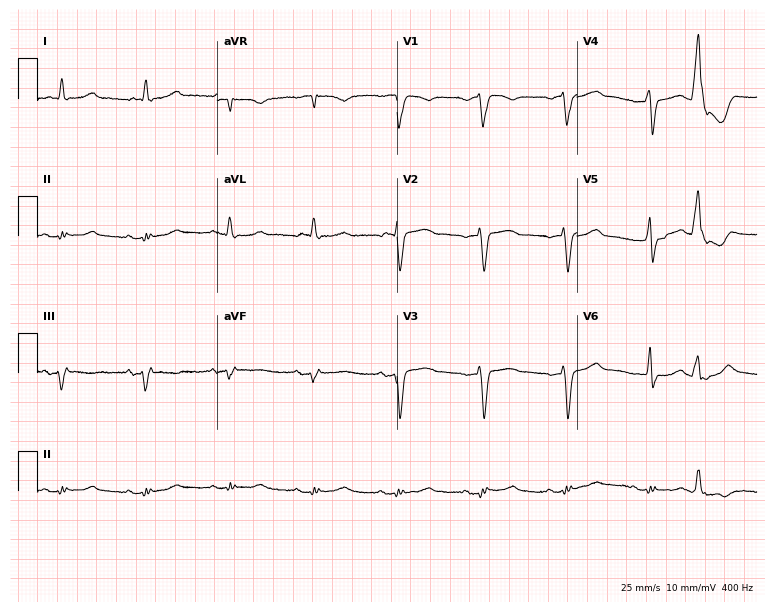
12-lead ECG from a 74-year-old male patient. Screened for six findings — first-degree AV block, right bundle branch block, left bundle branch block, sinus bradycardia, atrial fibrillation, sinus tachycardia — none is recorded. Findings outside these six are not listed.